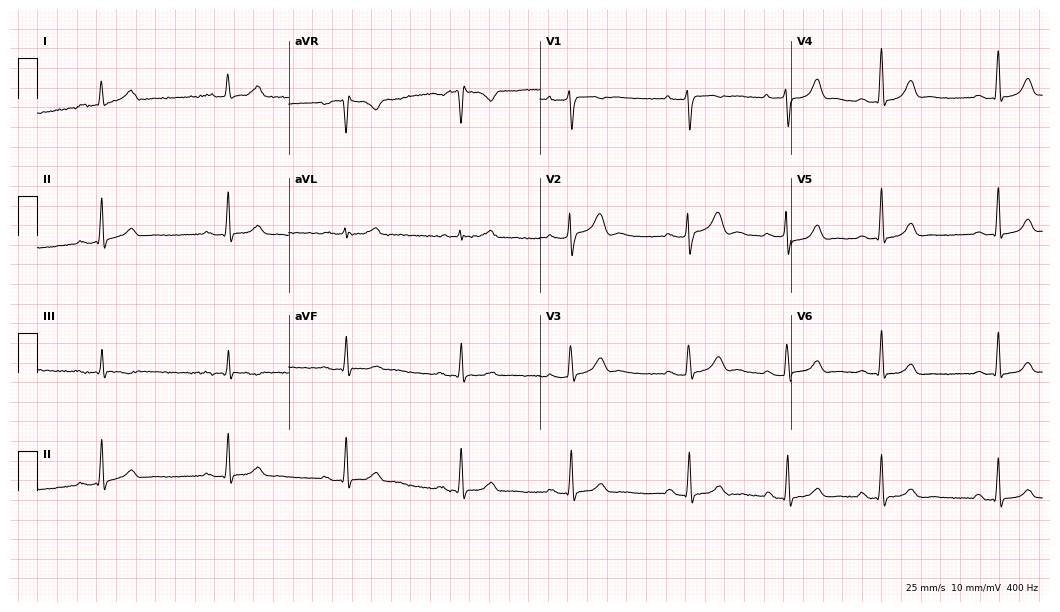
Electrocardiogram, a female, 25 years old. Overall reading on record: normal ECG.